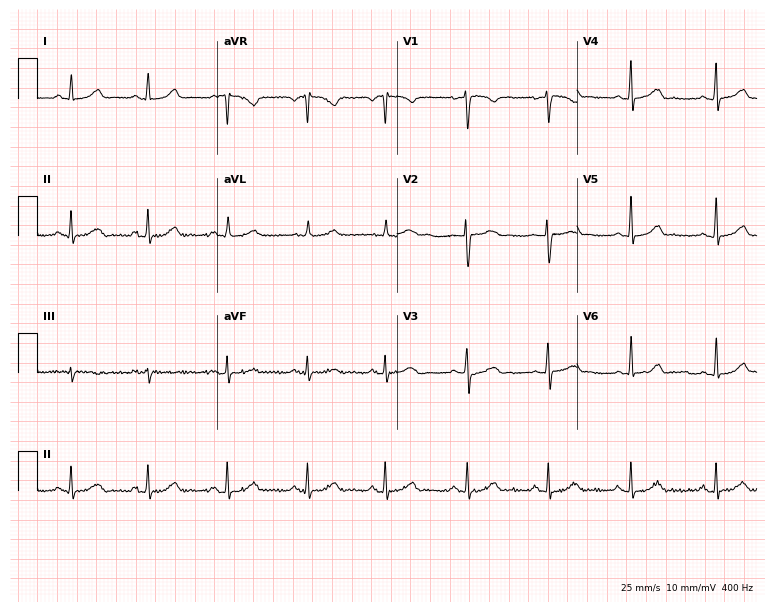
ECG (7.3-second recording at 400 Hz) — a 17-year-old female. Labelled as a normal ECG.